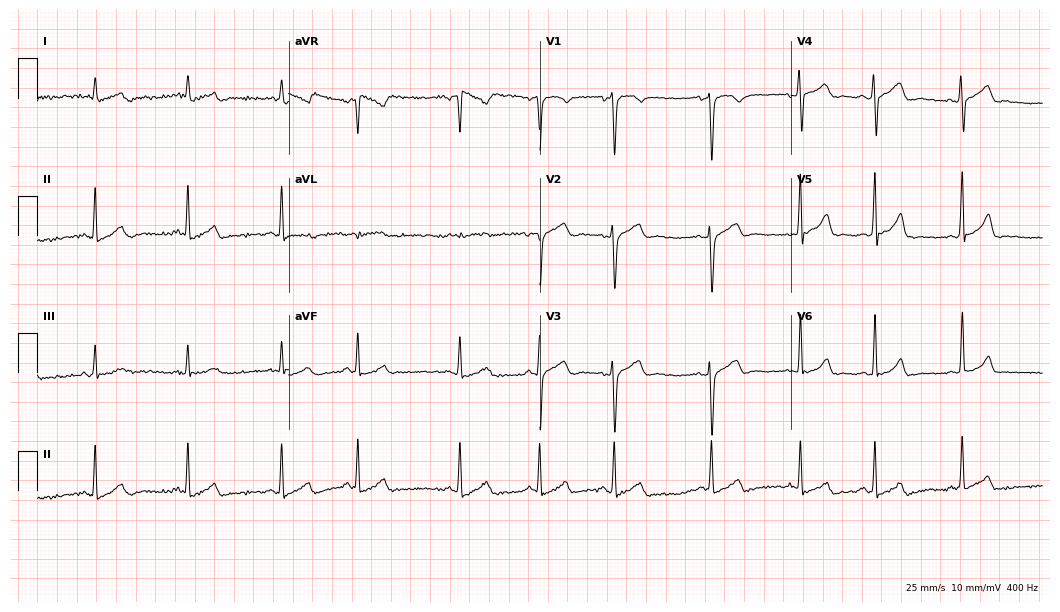
Resting 12-lead electrocardiogram (10.2-second recording at 400 Hz). Patient: a 33-year-old woman. Read as a normal ECG.